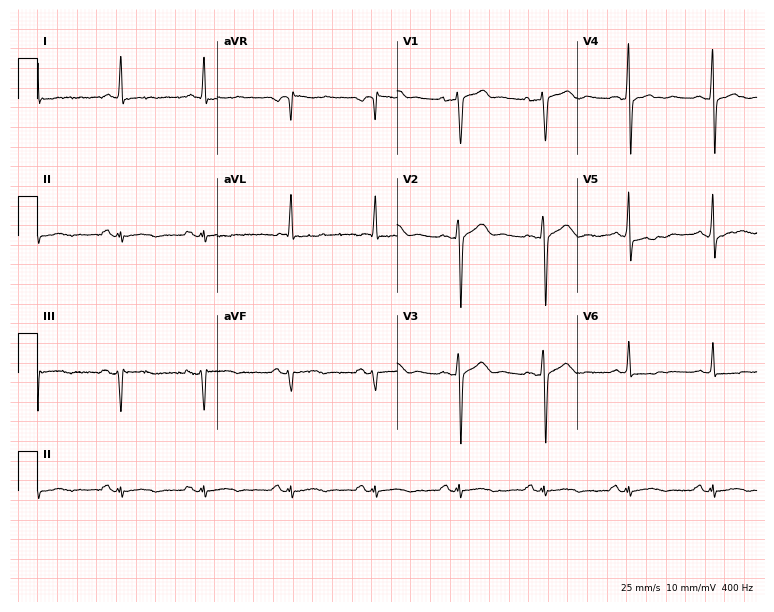
Resting 12-lead electrocardiogram. Patient: a 77-year-old male. None of these six findings is recorded: first-degree AV block, right bundle branch block, left bundle branch block, sinus bradycardia, atrial fibrillation, sinus tachycardia.